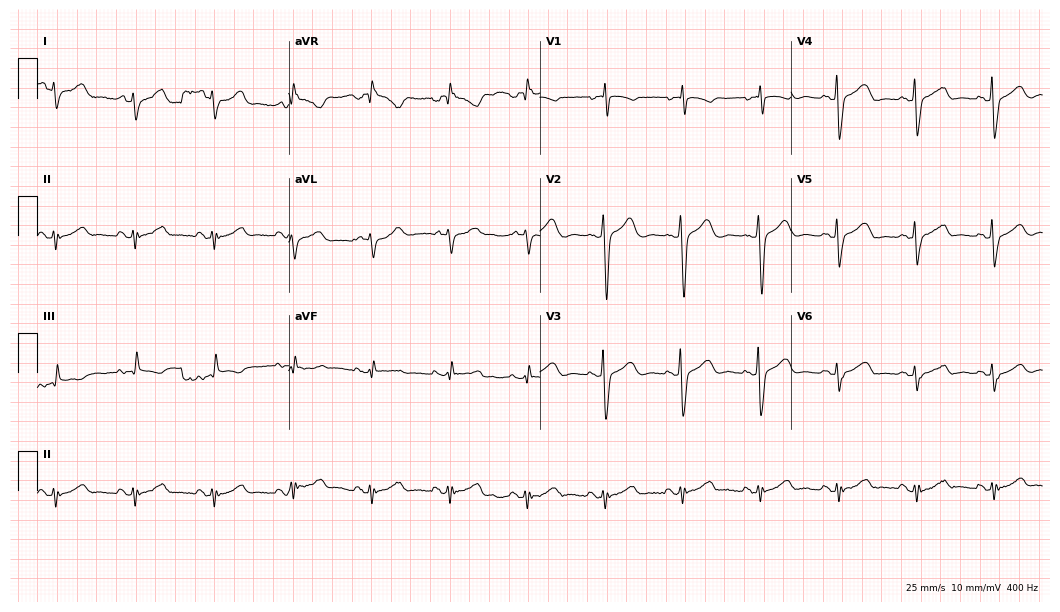
ECG (10.2-second recording at 400 Hz) — a woman, 84 years old. Screened for six findings — first-degree AV block, right bundle branch block, left bundle branch block, sinus bradycardia, atrial fibrillation, sinus tachycardia — none is recorded. Only these six findings were labelled.